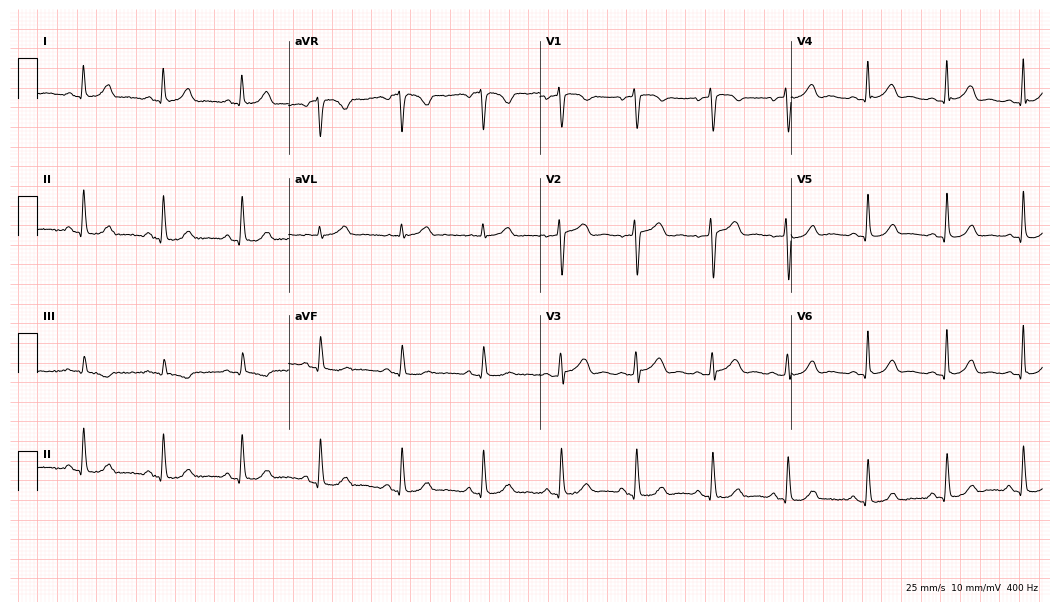
12-lead ECG from a female, 62 years old. No first-degree AV block, right bundle branch block, left bundle branch block, sinus bradycardia, atrial fibrillation or sinus tachycardia recorded for this tracing.